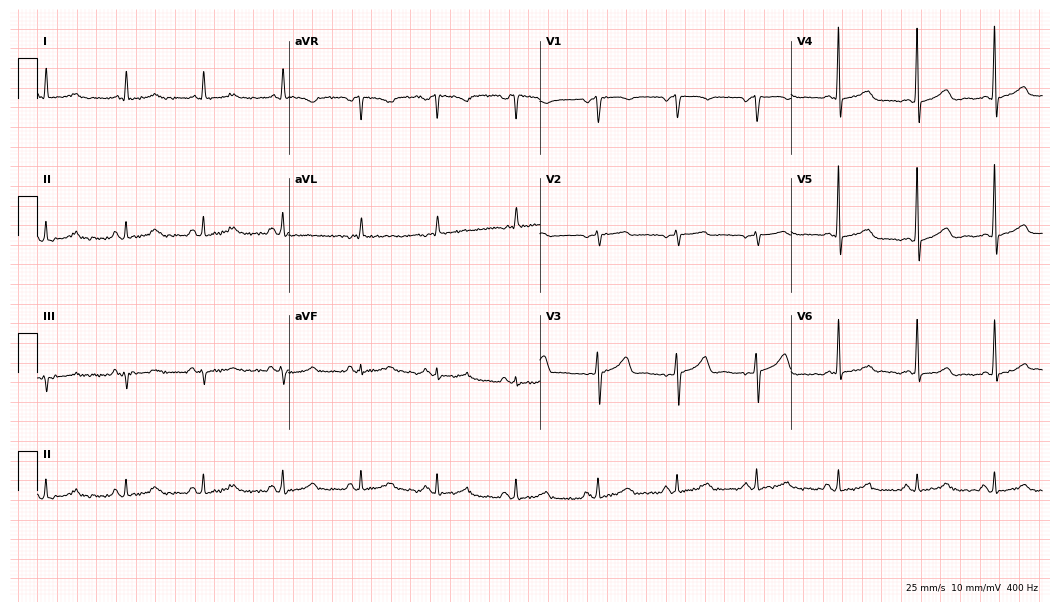
Standard 12-lead ECG recorded from a female, 49 years old. Read as a normal ECG.